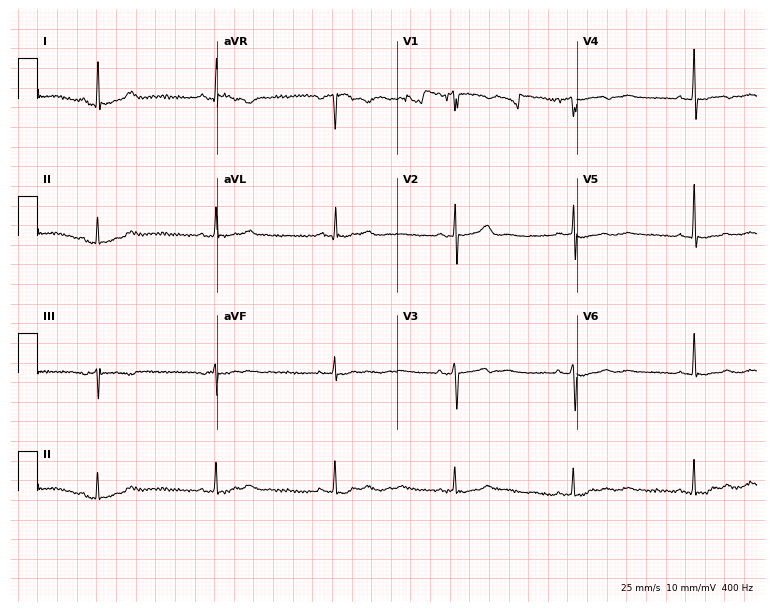
ECG — a female patient, 79 years old. Findings include sinus bradycardia (a sinus rate of 50 beats per minute or less).